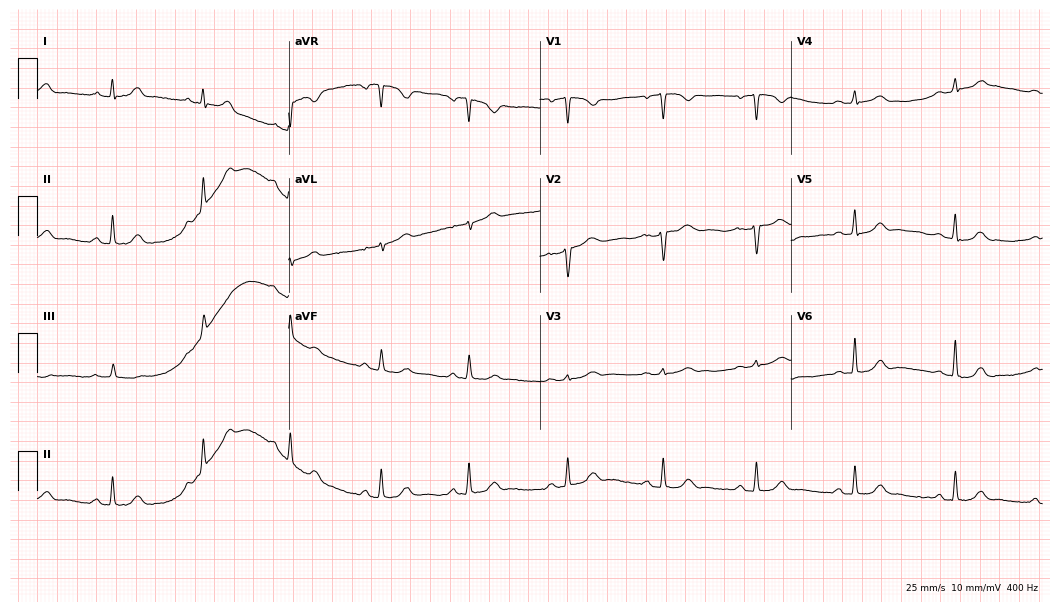
Resting 12-lead electrocardiogram (10.2-second recording at 400 Hz). Patient: a 39-year-old woman. Read as a normal ECG.